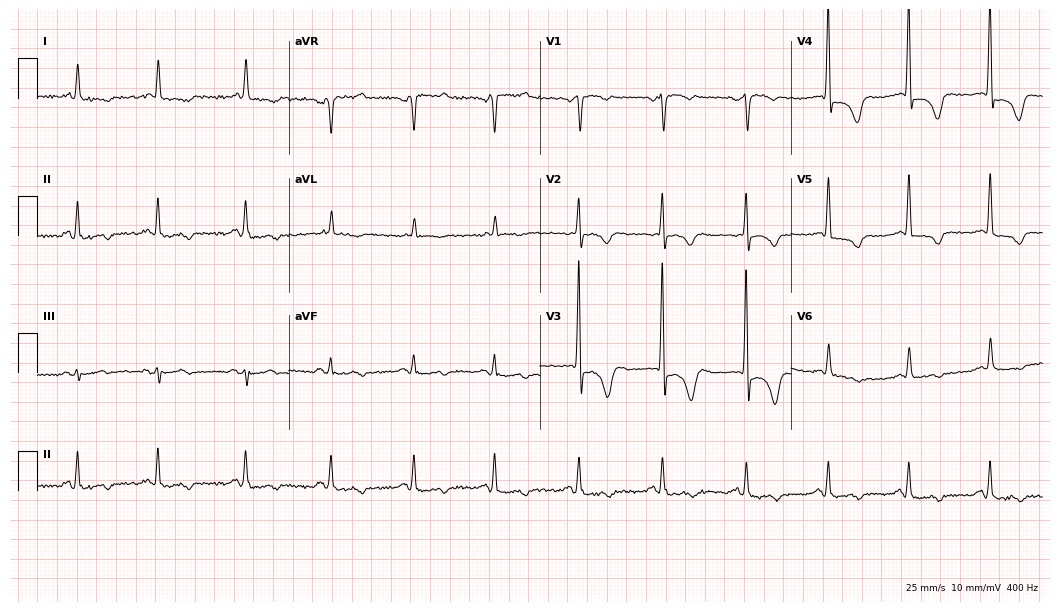
ECG — a female patient, 80 years old. Screened for six findings — first-degree AV block, right bundle branch block, left bundle branch block, sinus bradycardia, atrial fibrillation, sinus tachycardia — none is recorded. Other findings, if any, are not listed.